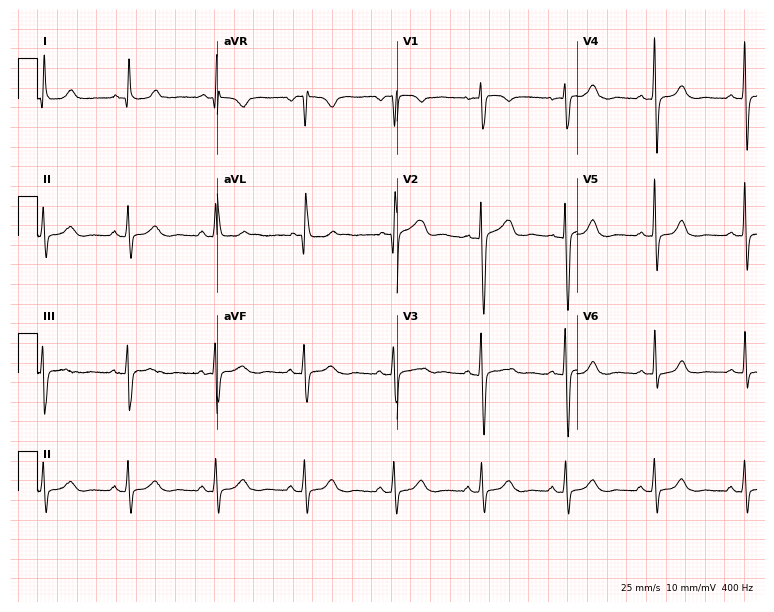
ECG (7.3-second recording at 400 Hz) — a female, 48 years old. Labelled as a normal ECG.